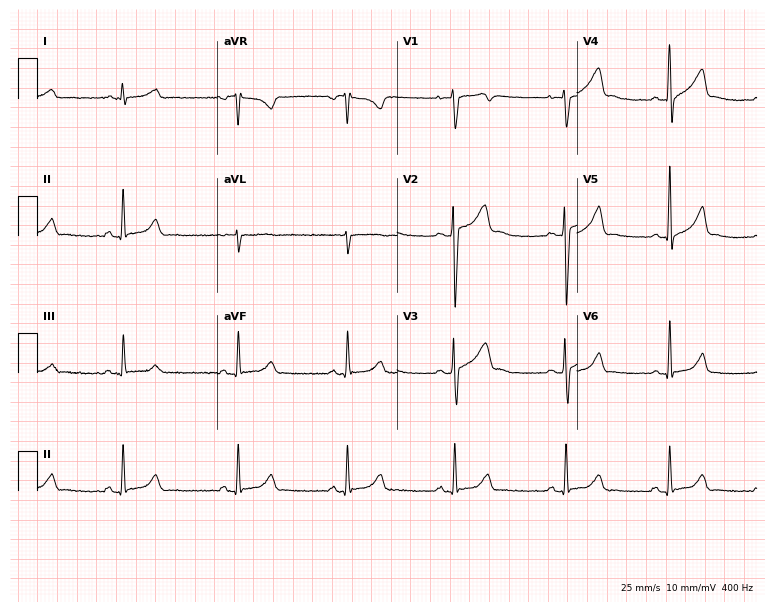
ECG — a 19-year-old male. Screened for six findings — first-degree AV block, right bundle branch block, left bundle branch block, sinus bradycardia, atrial fibrillation, sinus tachycardia — none is recorded. Findings outside these six are not listed.